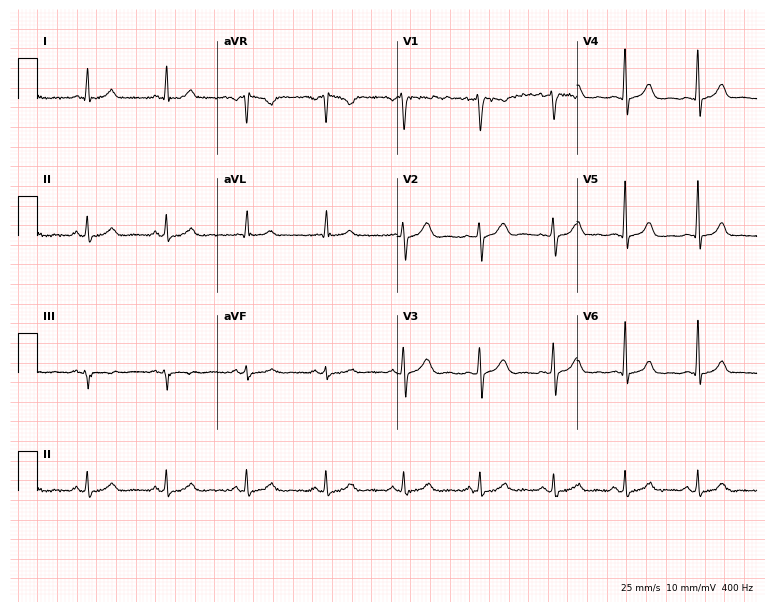
Electrocardiogram (7.3-second recording at 400 Hz), a 38-year-old female. Of the six screened findings (first-degree AV block, right bundle branch block (RBBB), left bundle branch block (LBBB), sinus bradycardia, atrial fibrillation (AF), sinus tachycardia), none is recorded. Only these six findings were labelled.